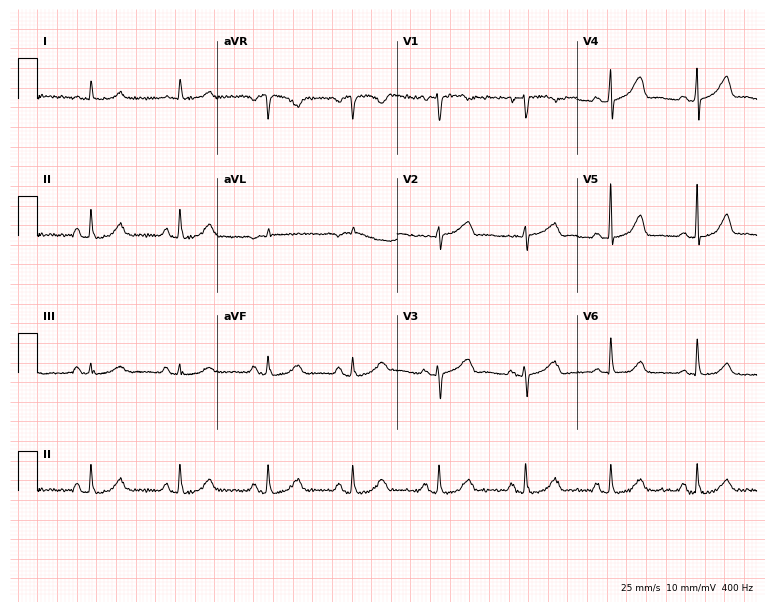
12-lead ECG (7.3-second recording at 400 Hz) from a 74-year-old female patient. Labelled as a normal ECG.